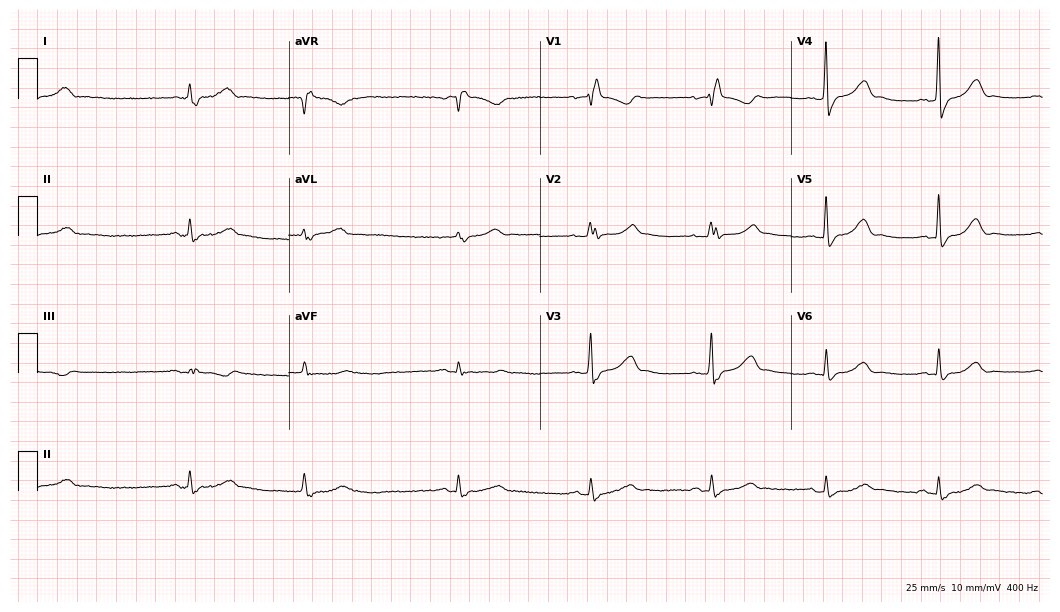
12-lead ECG (10.2-second recording at 400 Hz) from a 60-year-old female patient. Findings include right bundle branch block, sinus bradycardia (a sinus rate of 50 beats per minute or less).